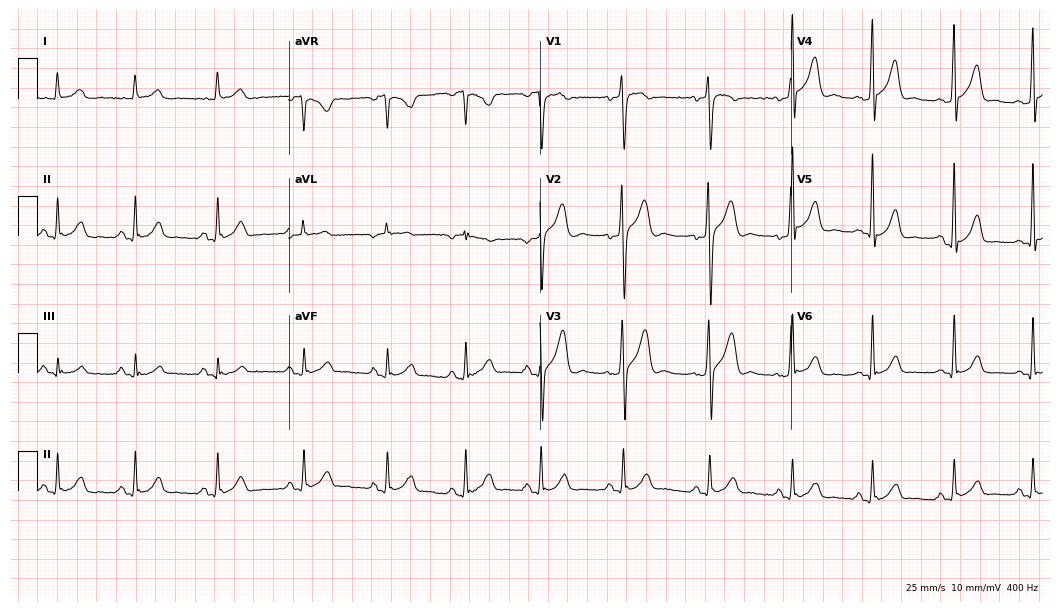
Standard 12-lead ECG recorded from a male patient, 23 years old (10.2-second recording at 400 Hz). Read as a normal ECG.